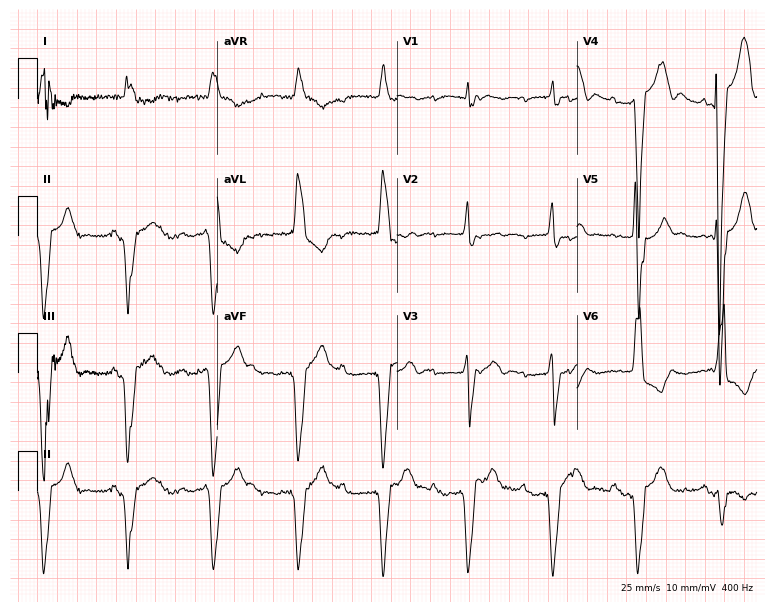
Electrocardiogram (7.3-second recording at 400 Hz), a 68-year-old female patient. Of the six screened findings (first-degree AV block, right bundle branch block, left bundle branch block, sinus bradycardia, atrial fibrillation, sinus tachycardia), none is recorded. Only these six findings were labelled.